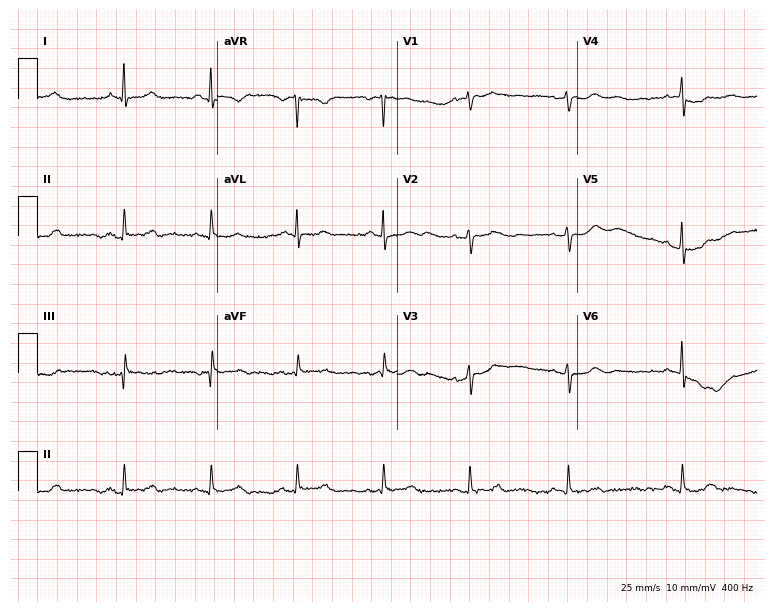
Electrocardiogram (7.3-second recording at 400 Hz), a female, 68 years old. Of the six screened findings (first-degree AV block, right bundle branch block, left bundle branch block, sinus bradycardia, atrial fibrillation, sinus tachycardia), none is recorded. Only these six findings were labelled.